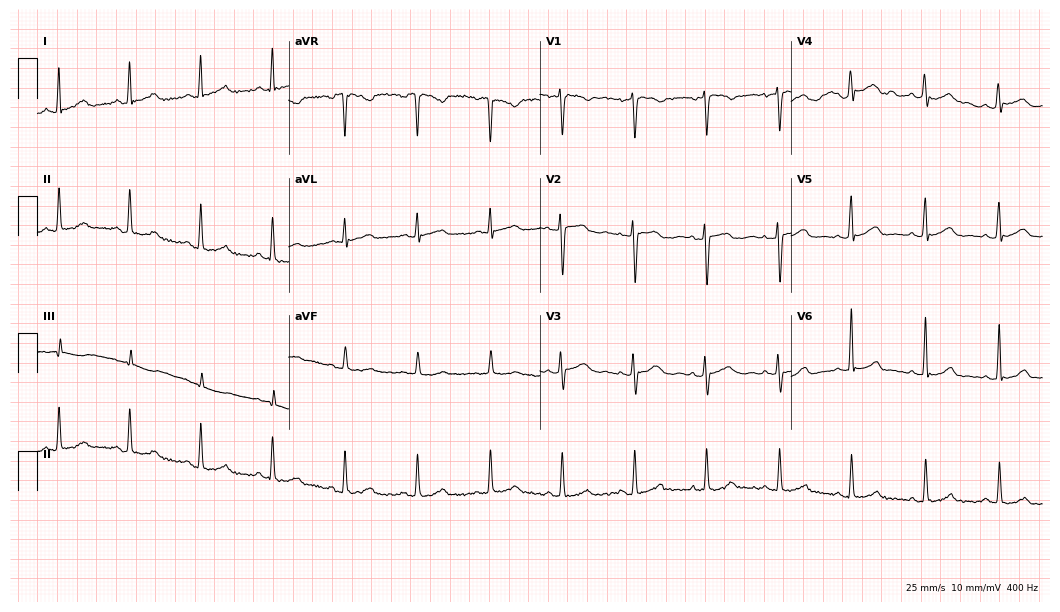
12-lead ECG from a 39-year-old female patient. Screened for six findings — first-degree AV block, right bundle branch block, left bundle branch block, sinus bradycardia, atrial fibrillation, sinus tachycardia — none is recorded.